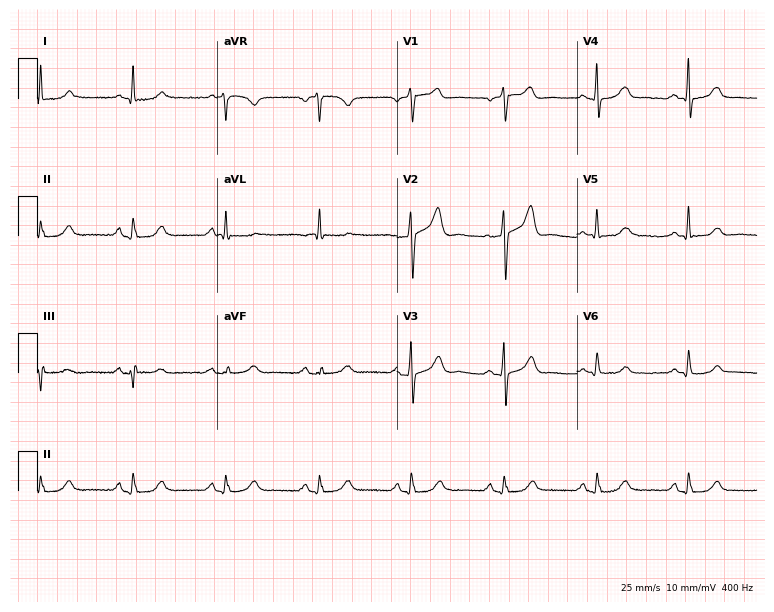
Standard 12-lead ECG recorded from a male patient, 79 years old. None of these six findings is recorded: first-degree AV block, right bundle branch block, left bundle branch block, sinus bradycardia, atrial fibrillation, sinus tachycardia. Other findings, if any, are not listed.